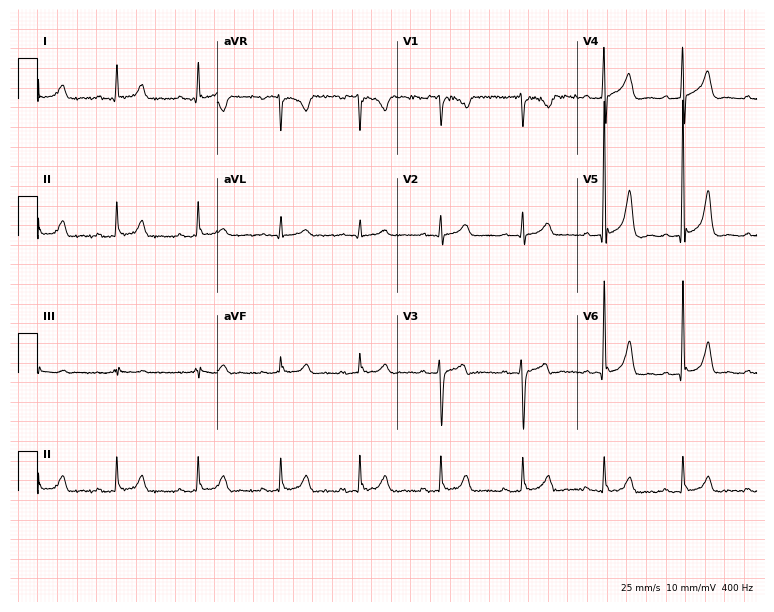
Resting 12-lead electrocardiogram (7.3-second recording at 400 Hz). Patient: a 51-year-old male. Read as a normal ECG.